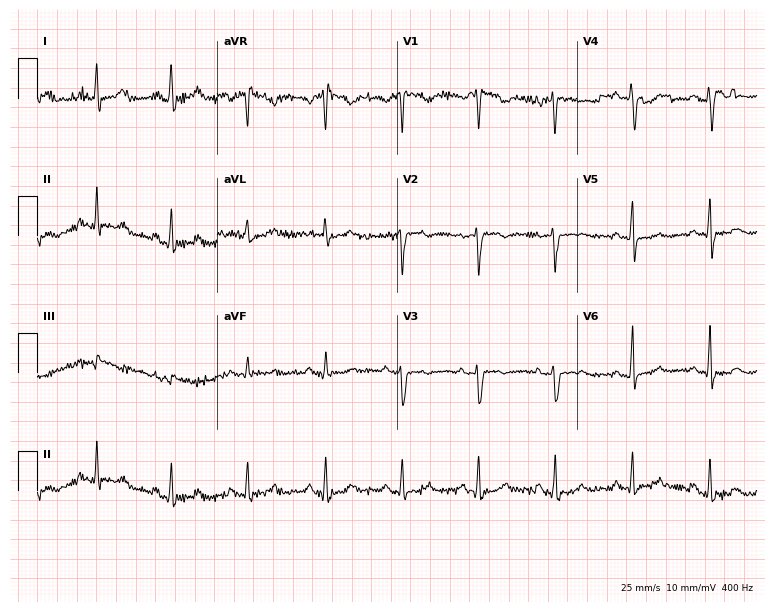
12-lead ECG from a female patient, 42 years old. Screened for six findings — first-degree AV block, right bundle branch block, left bundle branch block, sinus bradycardia, atrial fibrillation, sinus tachycardia — none is recorded.